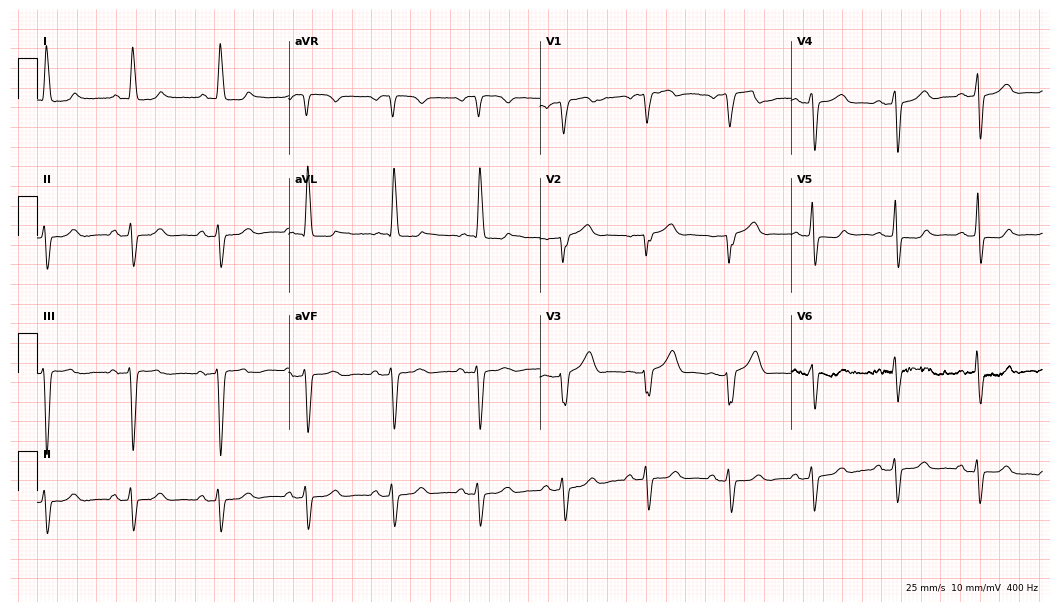
Standard 12-lead ECG recorded from a 77-year-old female patient (10.2-second recording at 400 Hz). The tracing shows left bundle branch block.